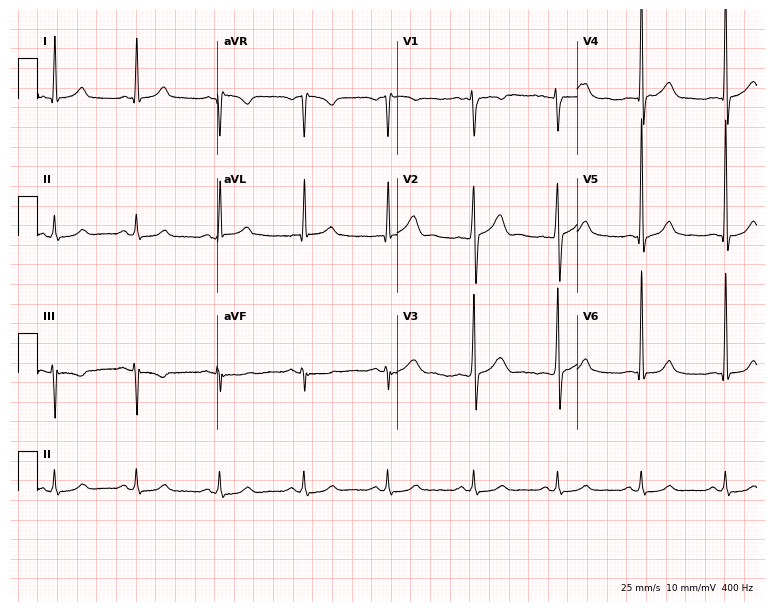
ECG (7.3-second recording at 400 Hz) — a 47-year-old male. Screened for six findings — first-degree AV block, right bundle branch block (RBBB), left bundle branch block (LBBB), sinus bradycardia, atrial fibrillation (AF), sinus tachycardia — none is recorded. Findings outside these six are not listed.